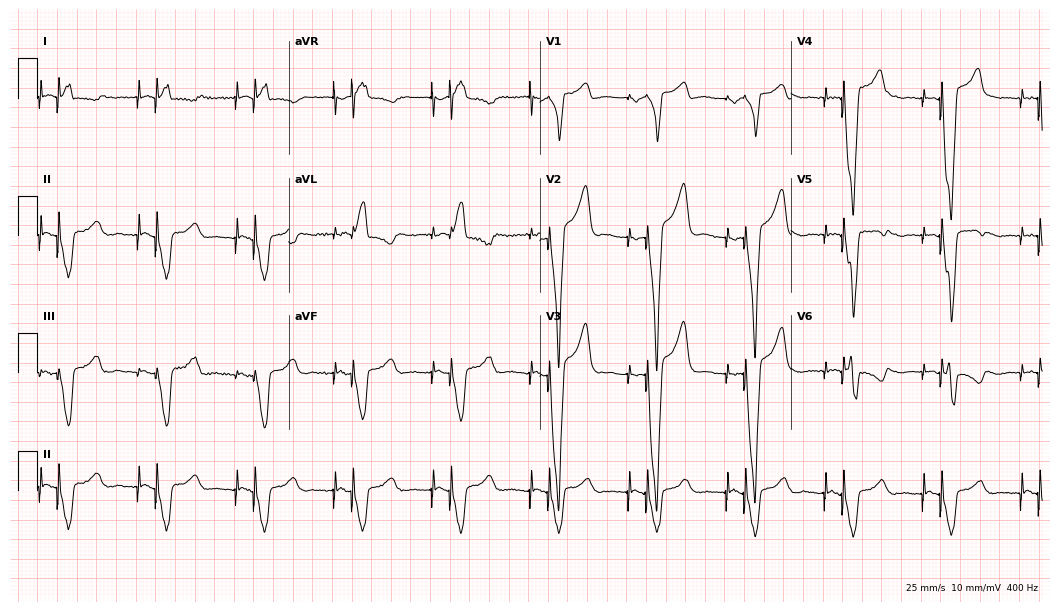
Resting 12-lead electrocardiogram. Patient: a 40-year-old man. None of these six findings is recorded: first-degree AV block, right bundle branch block (RBBB), left bundle branch block (LBBB), sinus bradycardia, atrial fibrillation (AF), sinus tachycardia.